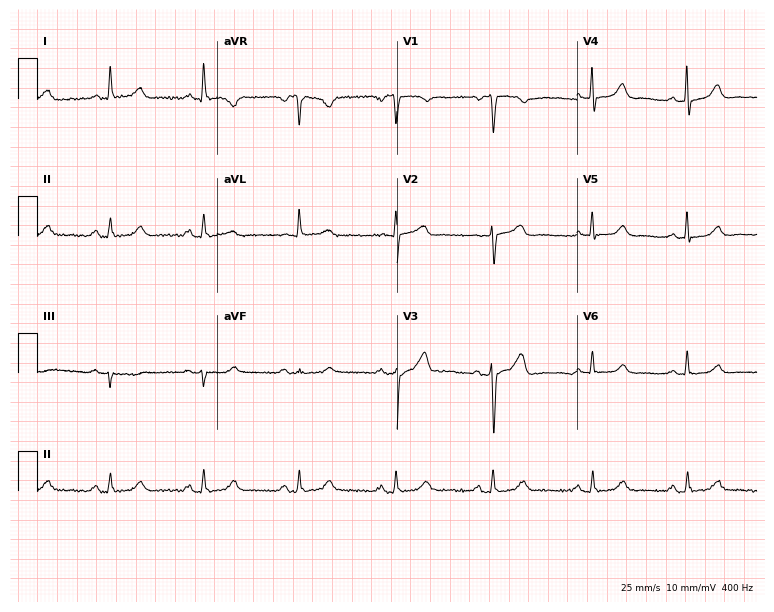
12-lead ECG from a woman, 57 years old. Labelled as a normal ECG.